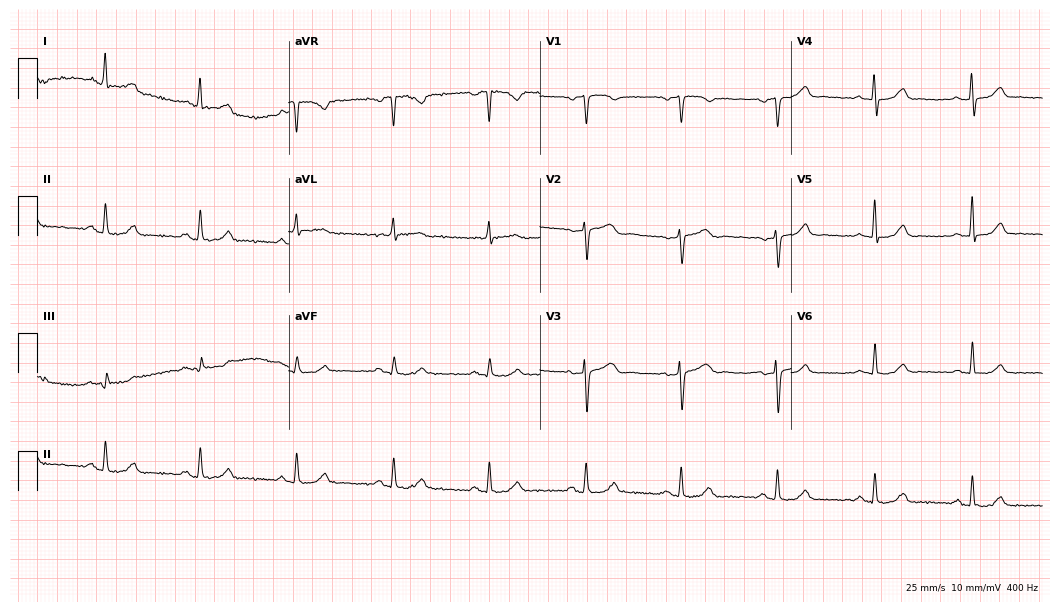
12-lead ECG from a female, 61 years old. Screened for six findings — first-degree AV block, right bundle branch block, left bundle branch block, sinus bradycardia, atrial fibrillation, sinus tachycardia — none is recorded. Findings outside these six are not listed.